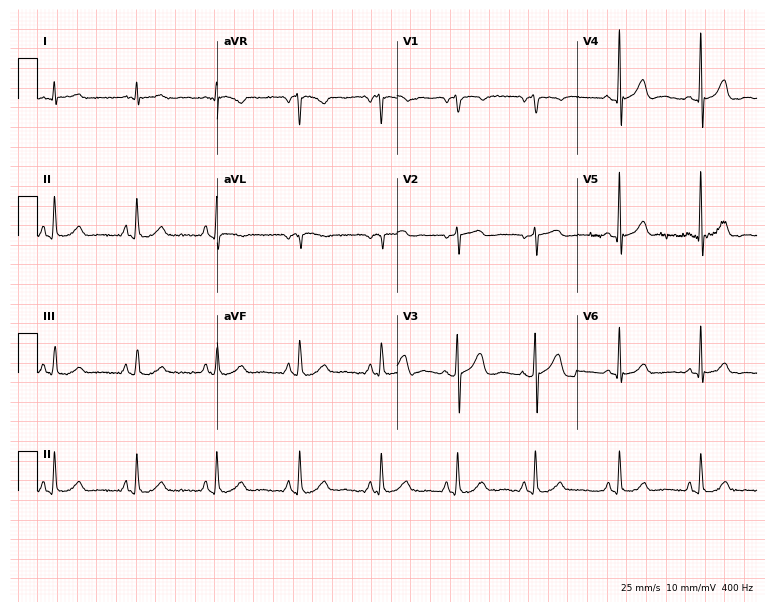
12-lead ECG (7.3-second recording at 400 Hz) from a 65-year-old male patient. Labelled as a normal ECG.